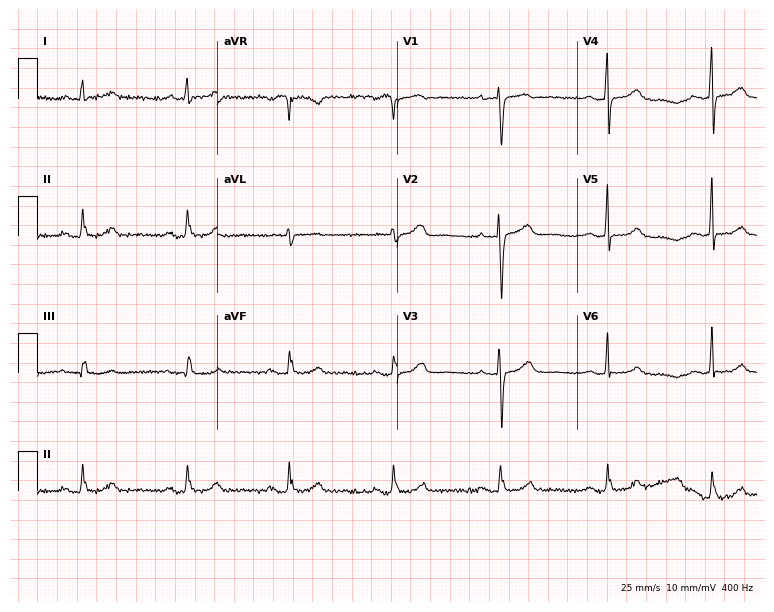
ECG (7.3-second recording at 400 Hz) — a 69-year-old female. Labelled as a normal ECG.